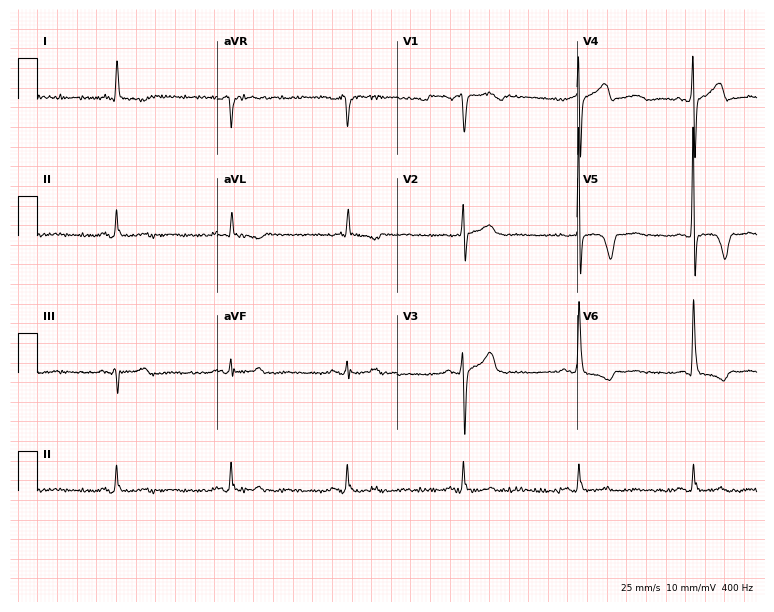
Standard 12-lead ECG recorded from a man, 70 years old. None of these six findings is recorded: first-degree AV block, right bundle branch block, left bundle branch block, sinus bradycardia, atrial fibrillation, sinus tachycardia. Findings outside these six are not listed.